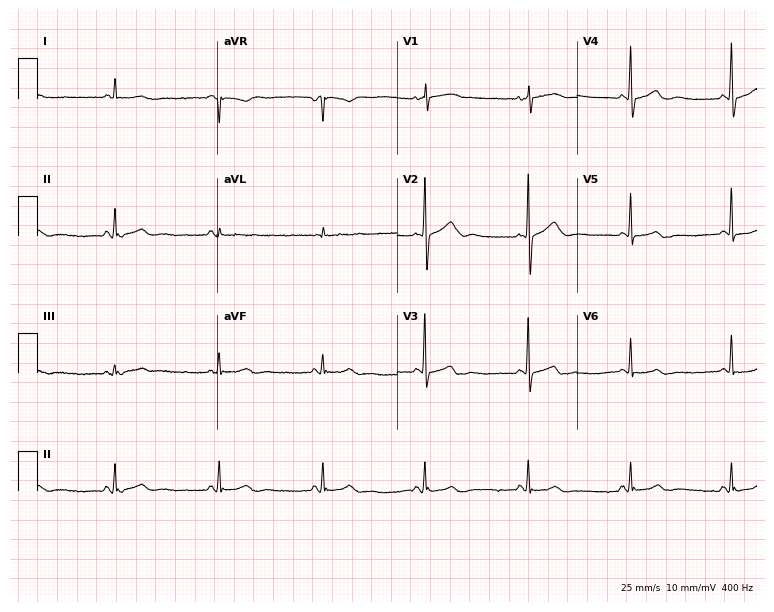
Electrocardiogram, an 80-year-old female. Of the six screened findings (first-degree AV block, right bundle branch block, left bundle branch block, sinus bradycardia, atrial fibrillation, sinus tachycardia), none is recorded. Only these six findings were labelled.